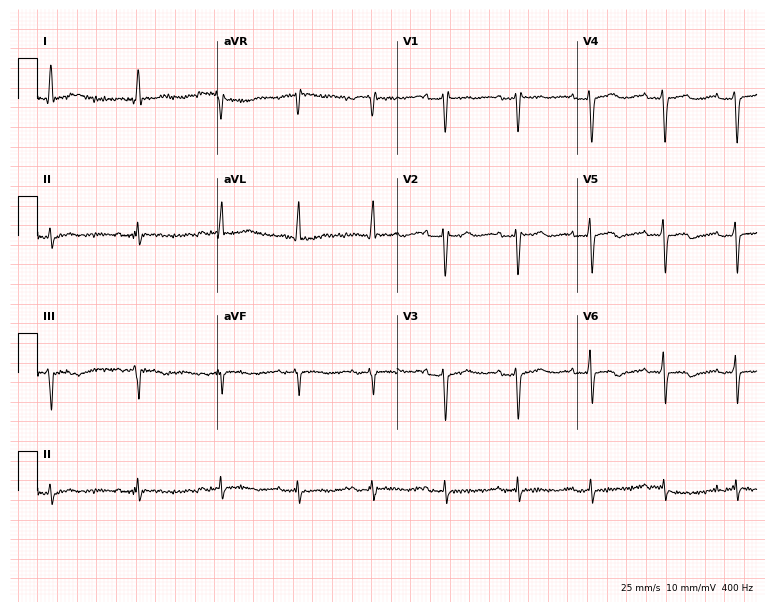
Electrocardiogram (7.3-second recording at 400 Hz), a female, 65 years old. Of the six screened findings (first-degree AV block, right bundle branch block (RBBB), left bundle branch block (LBBB), sinus bradycardia, atrial fibrillation (AF), sinus tachycardia), none is recorded.